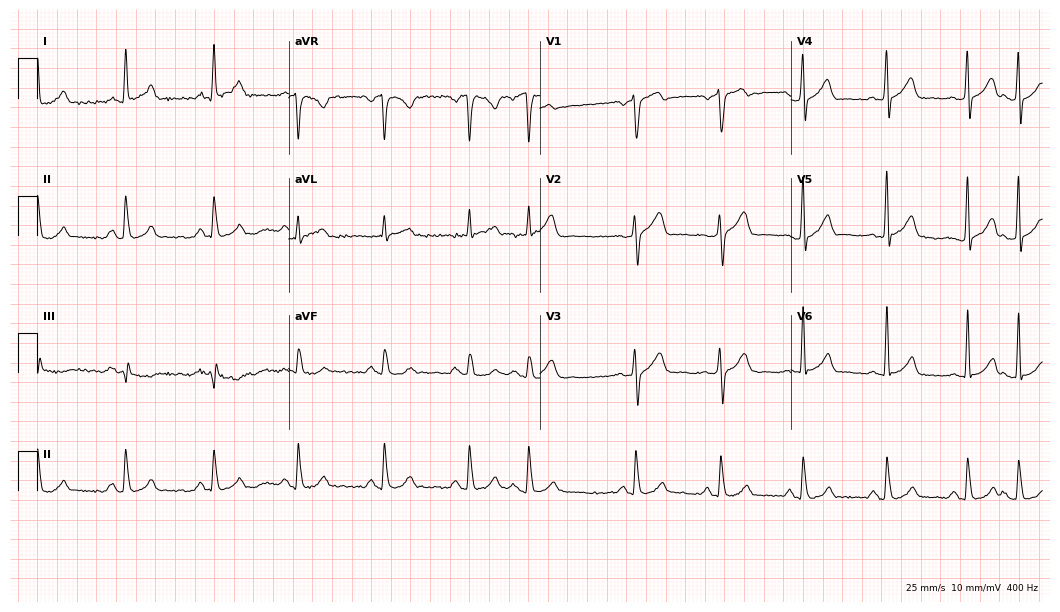
Standard 12-lead ECG recorded from a man, 51 years old (10.2-second recording at 400 Hz). Read as a normal ECG.